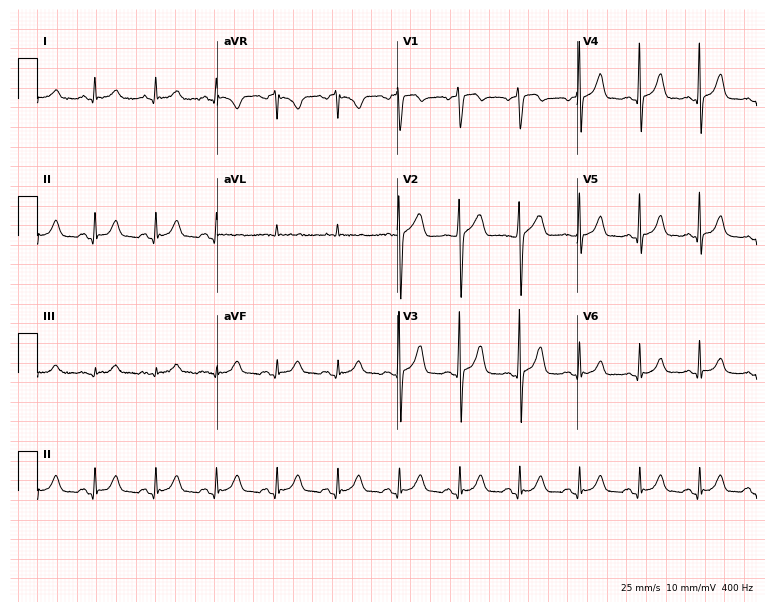
12-lead ECG from a male patient, 34 years old. Recorded interpretation: within normal limits.